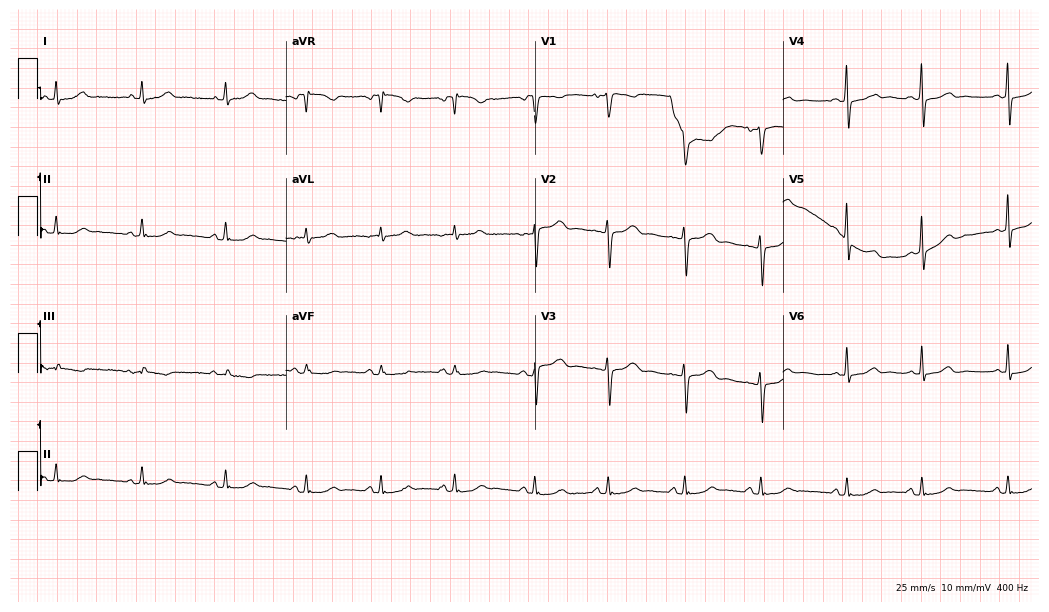
Standard 12-lead ECG recorded from a 57-year-old female. None of these six findings is recorded: first-degree AV block, right bundle branch block, left bundle branch block, sinus bradycardia, atrial fibrillation, sinus tachycardia. Findings outside these six are not listed.